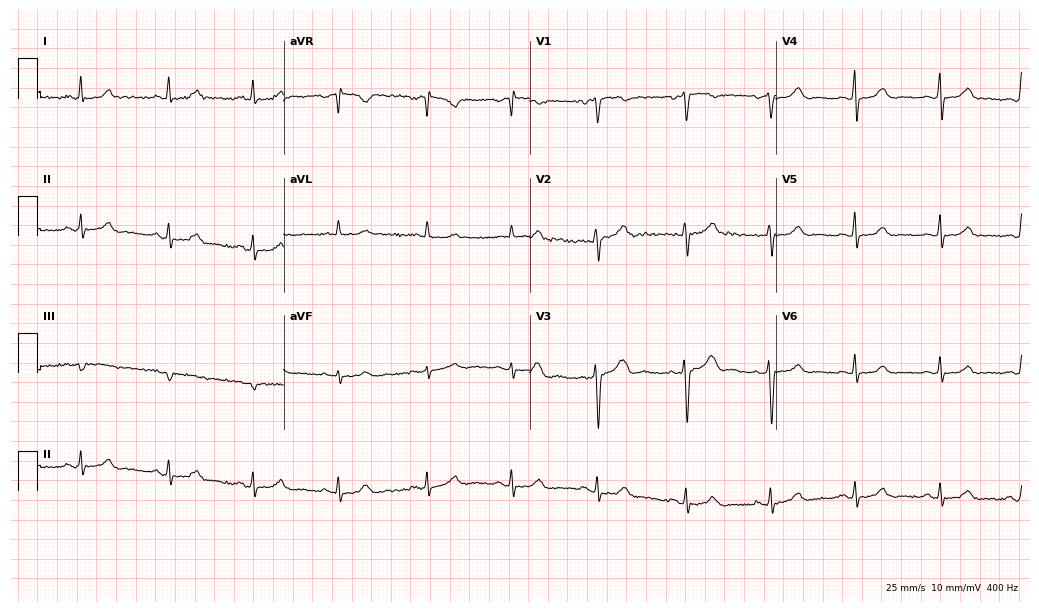
Resting 12-lead electrocardiogram (10-second recording at 400 Hz). Patient: a woman, 31 years old. Read as a normal ECG.